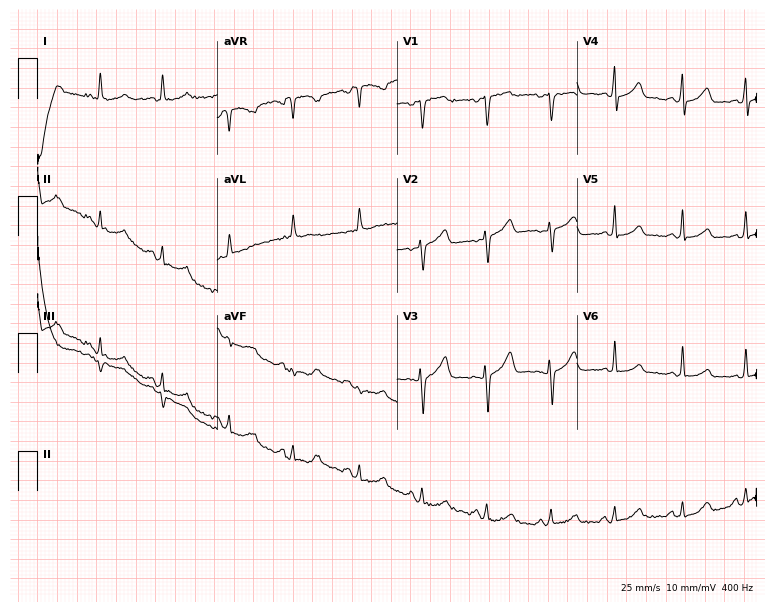
Resting 12-lead electrocardiogram (7.3-second recording at 400 Hz). Patient: a female, 58 years old. None of these six findings is recorded: first-degree AV block, right bundle branch block (RBBB), left bundle branch block (LBBB), sinus bradycardia, atrial fibrillation (AF), sinus tachycardia.